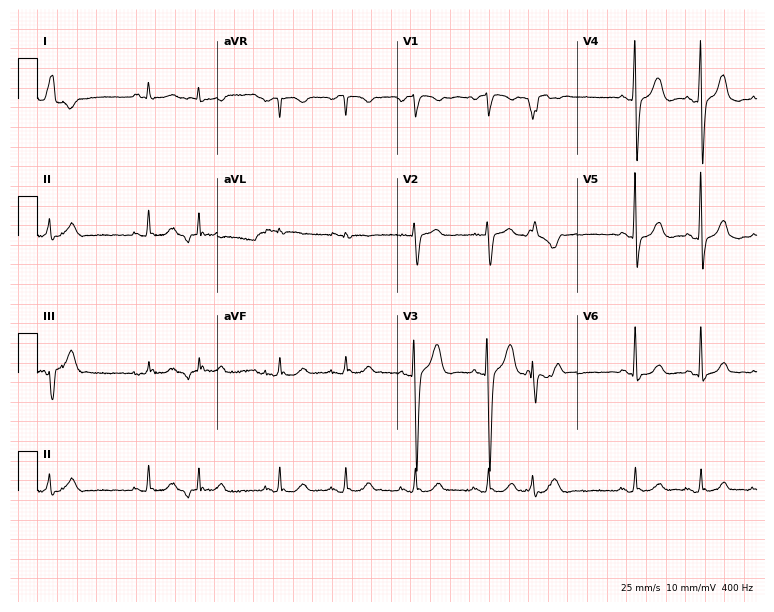
ECG (7.3-second recording at 400 Hz) — a 66-year-old man. Screened for six findings — first-degree AV block, right bundle branch block, left bundle branch block, sinus bradycardia, atrial fibrillation, sinus tachycardia — none is recorded. Other findings, if any, are not listed.